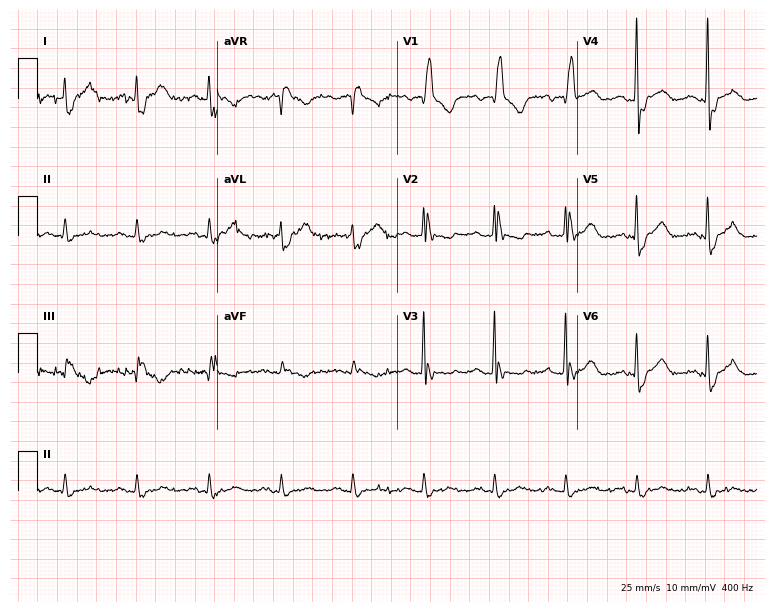
Resting 12-lead electrocardiogram (7.3-second recording at 400 Hz). Patient: a man, 83 years old. The tracing shows right bundle branch block.